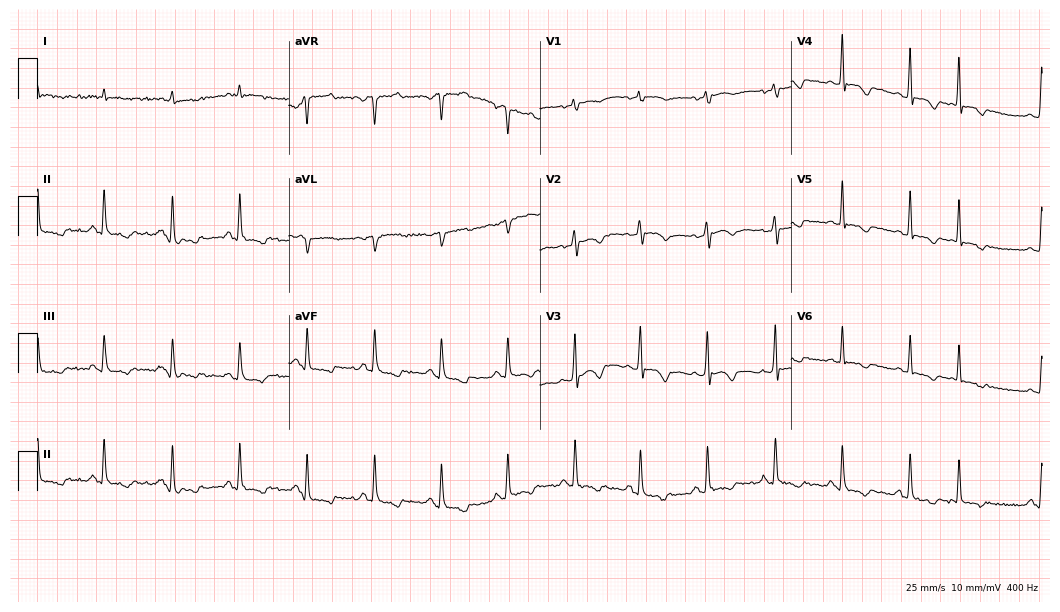
12-lead ECG from a 51-year-old male (10.2-second recording at 400 Hz). No first-degree AV block, right bundle branch block (RBBB), left bundle branch block (LBBB), sinus bradycardia, atrial fibrillation (AF) or sinus tachycardia recorded for this tracing. Findings outside these six are not listed.